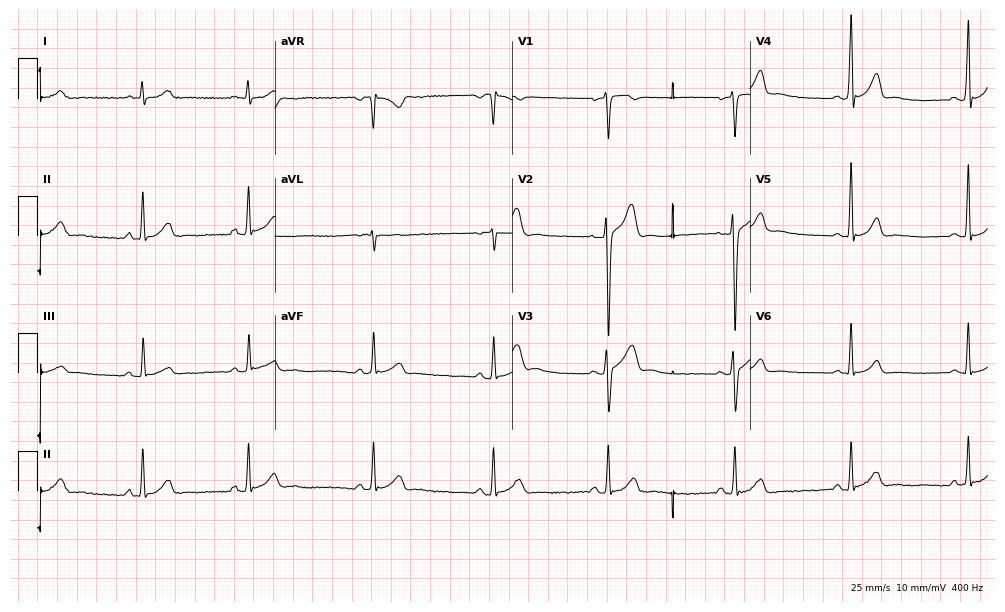
Resting 12-lead electrocardiogram. Patient: a male, 24 years old. Read as a normal ECG.